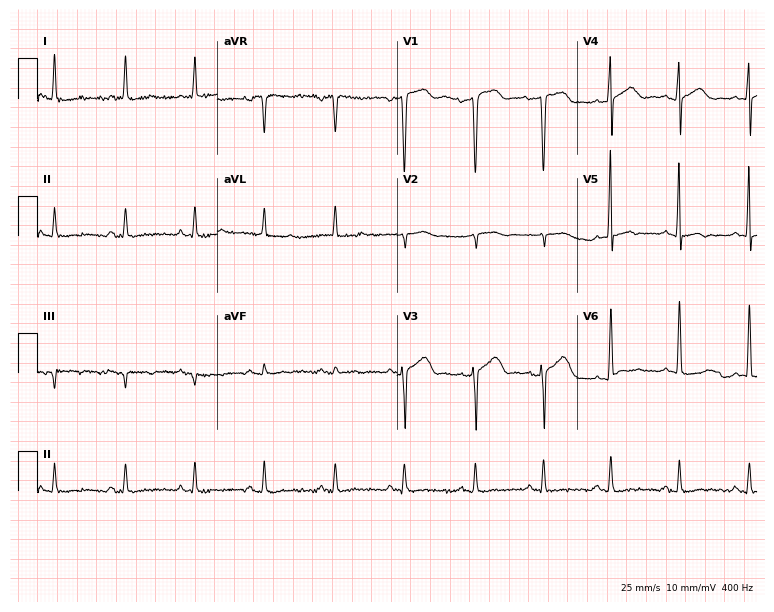
Standard 12-lead ECG recorded from a 77-year-old woman (7.3-second recording at 400 Hz). None of these six findings is recorded: first-degree AV block, right bundle branch block (RBBB), left bundle branch block (LBBB), sinus bradycardia, atrial fibrillation (AF), sinus tachycardia.